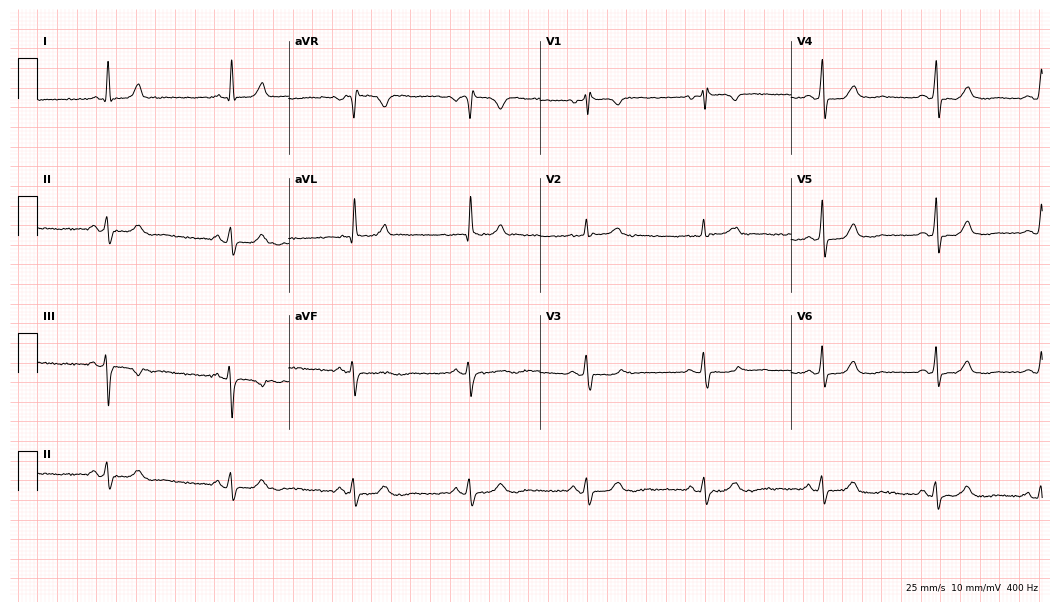
12-lead ECG from a 63-year-old female patient. Shows sinus bradycardia (a sinus rate of 50 beats per minute or less).